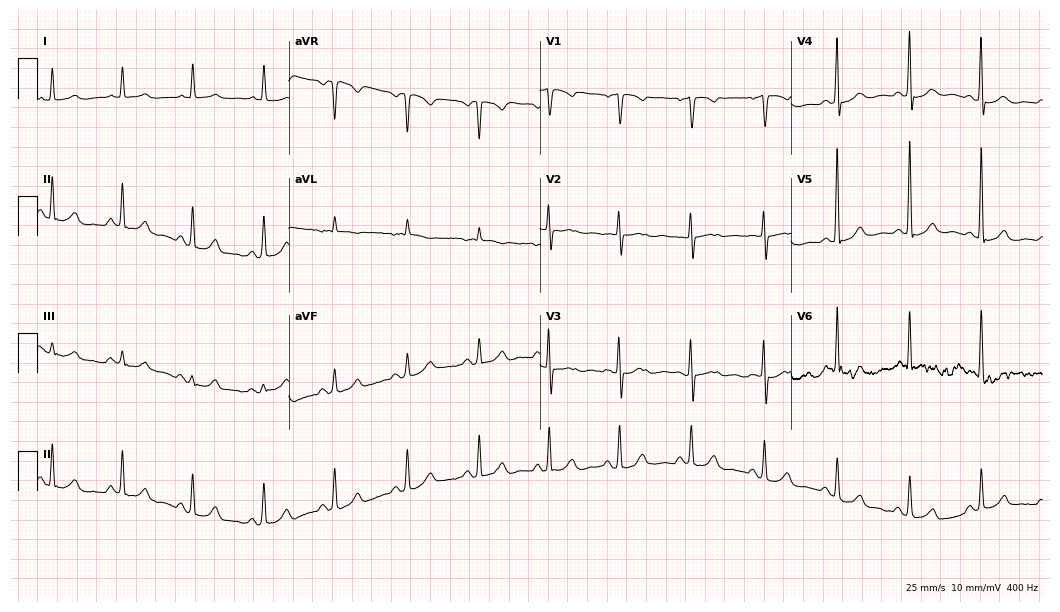
Standard 12-lead ECG recorded from a female patient, 73 years old. Read as a normal ECG.